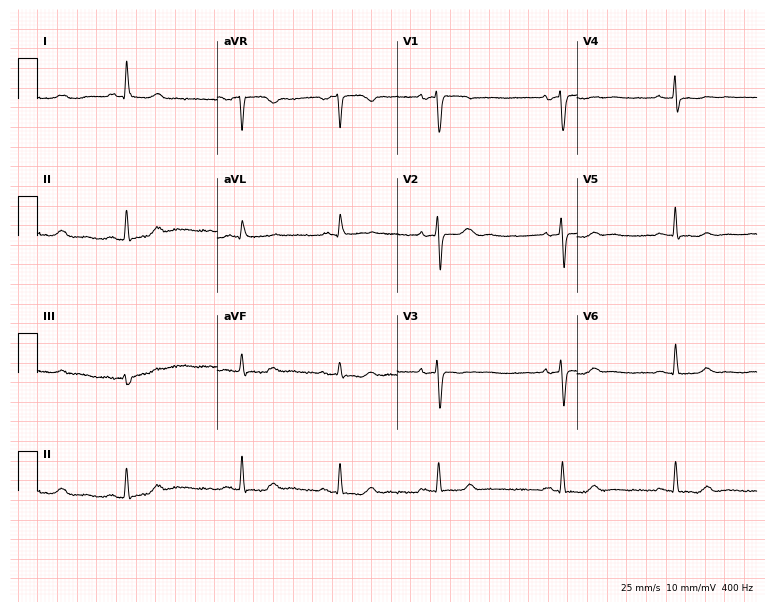
ECG — a 63-year-old woman. Labelled as a normal ECG.